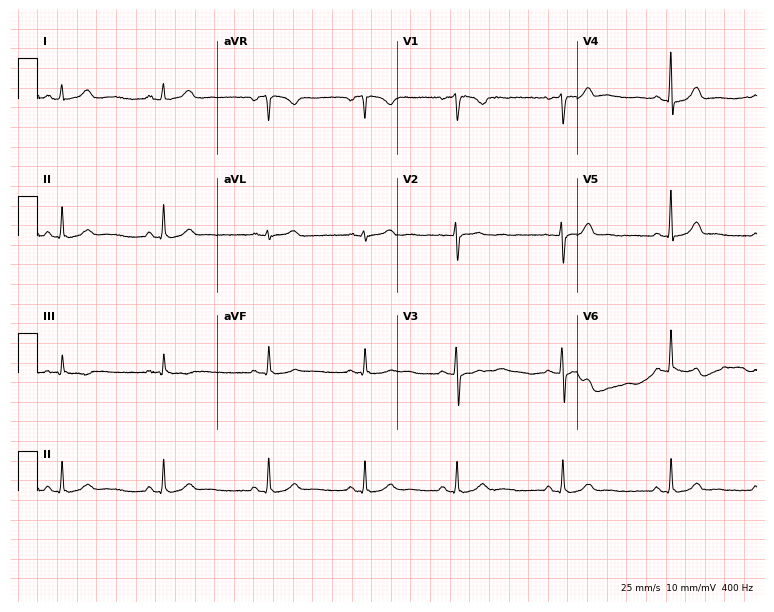
12-lead ECG from a female, 26 years old. Recorded interpretation: within normal limits.